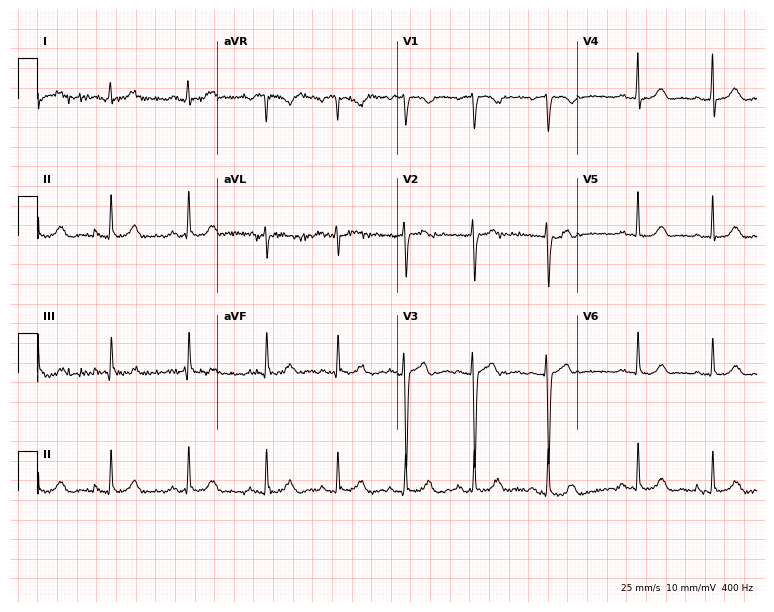
12-lead ECG from a female patient, 22 years old (7.3-second recording at 400 Hz). No first-degree AV block, right bundle branch block, left bundle branch block, sinus bradycardia, atrial fibrillation or sinus tachycardia recorded for this tracing. Findings outside these six are not listed.